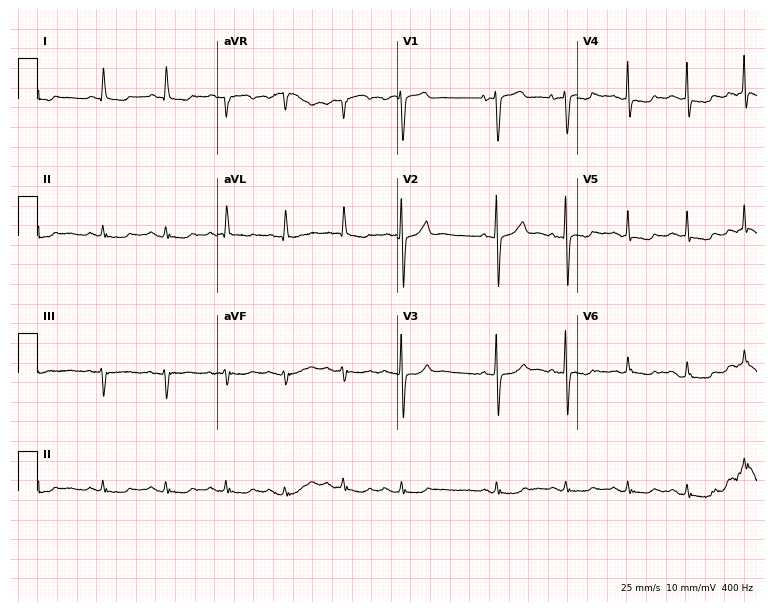
12-lead ECG from a 59-year-old female (7.3-second recording at 400 Hz). No first-degree AV block, right bundle branch block, left bundle branch block, sinus bradycardia, atrial fibrillation or sinus tachycardia recorded for this tracing. Other findings, if any, are not listed.